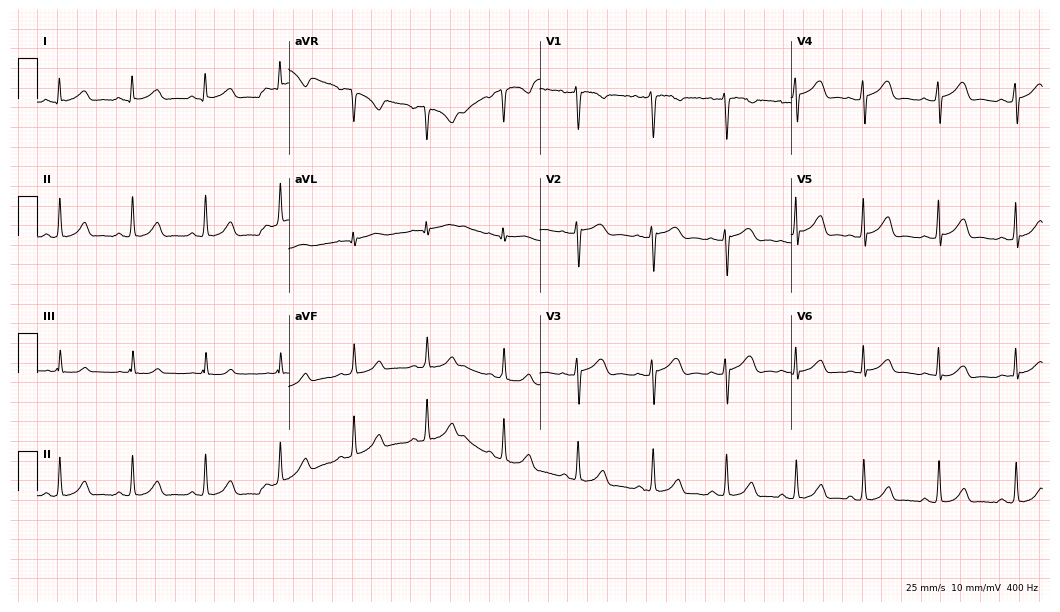
Resting 12-lead electrocardiogram. Patient: a female, 23 years old. Read as a normal ECG.